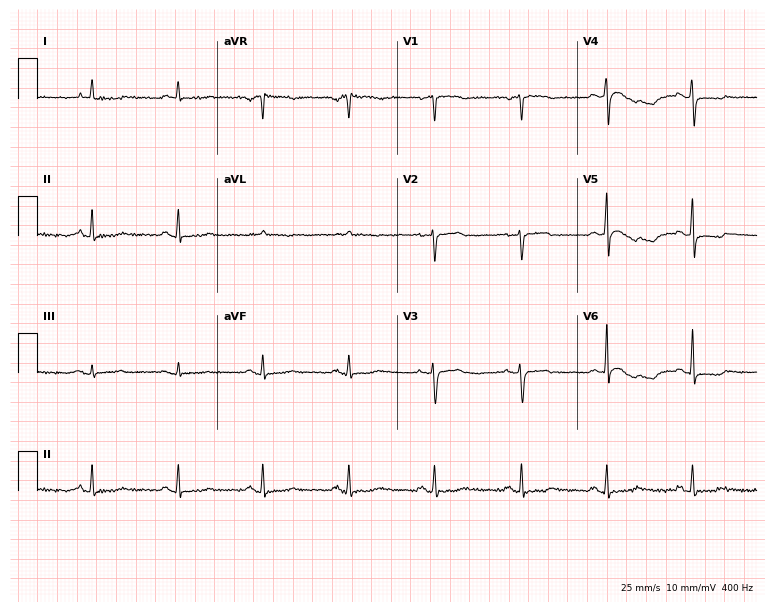
12-lead ECG from a 68-year-old woman. Screened for six findings — first-degree AV block, right bundle branch block (RBBB), left bundle branch block (LBBB), sinus bradycardia, atrial fibrillation (AF), sinus tachycardia — none is recorded. Findings outside these six are not listed.